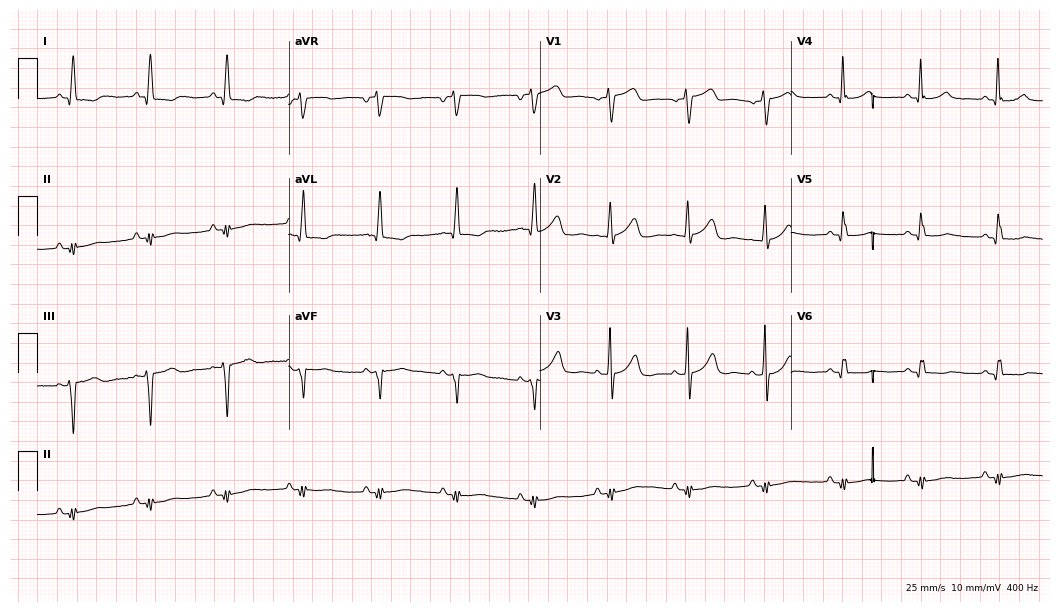
12-lead ECG from a 68-year-old female patient. No first-degree AV block, right bundle branch block (RBBB), left bundle branch block (LBBB), sinus bradycardia, atrial fibrillation (AF) or sinus tachycardia recorded for this tracing.